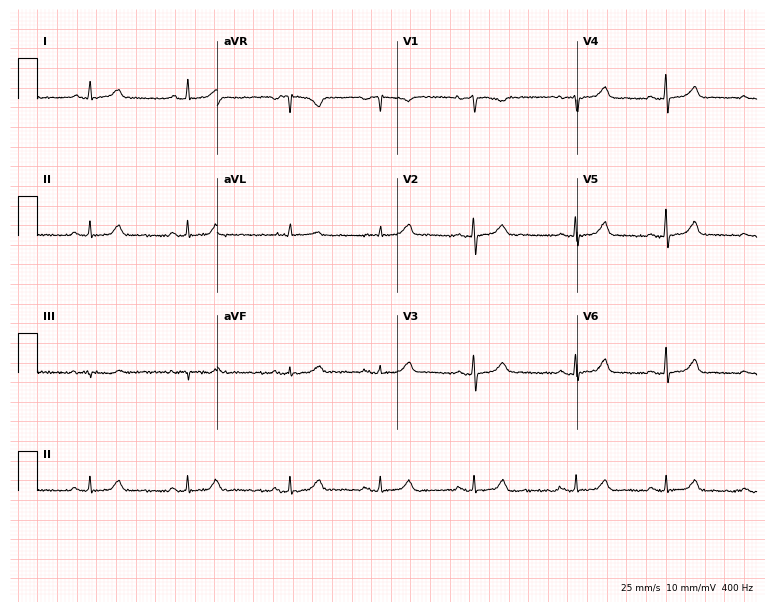
12-lead ECG from a 34-year-old woman. Labelled as a normal ECG.